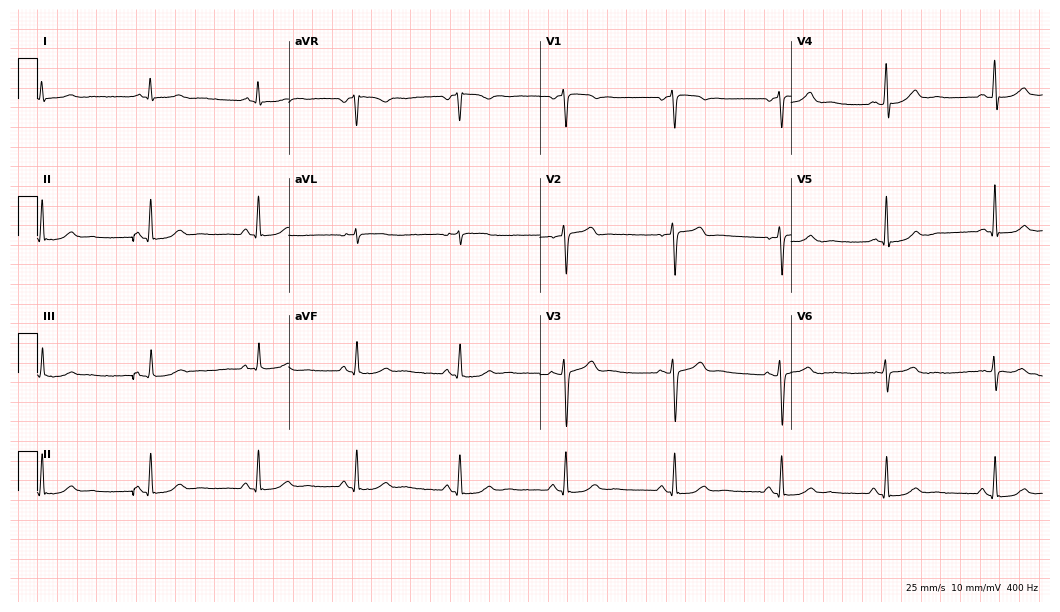
Resting 12-lead electrocardiogram. Patient: a 59-year-old woman. Read as a normal ECG.